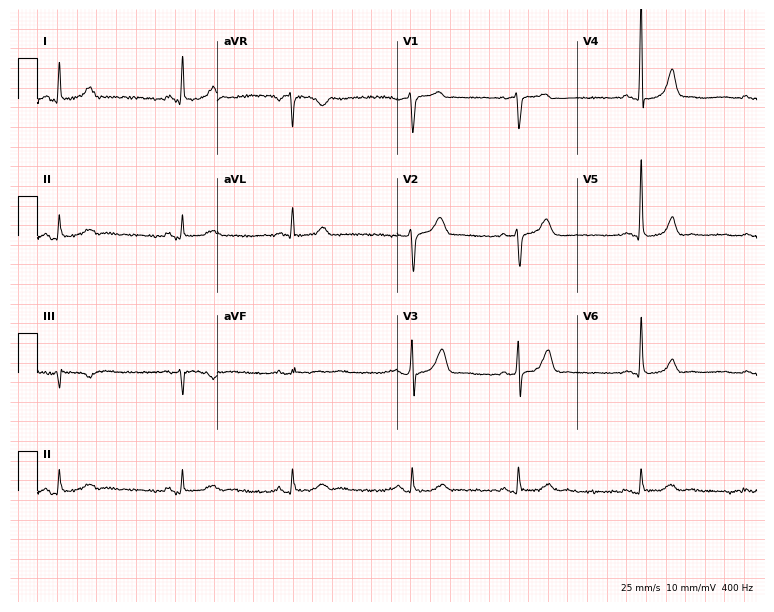
ECG — a male patient, 44 years old. Labelled as a normal ECG.